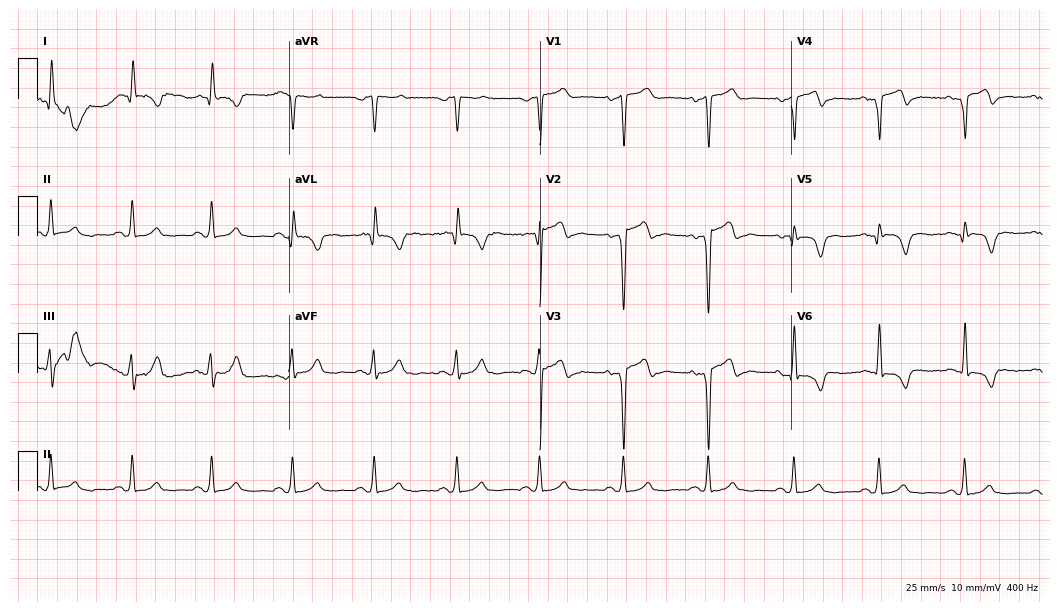
12-lead ECG (10.2-second recording at 400 Hz) from a 58-year-old male patient. Screened for six findings — first-degree AV block, right bundle branch block, left bundle branch block, sinus bradycardia, atrial fibrillation, sinus tachycardia — none is recorded. Other findings, if any, are not listed.